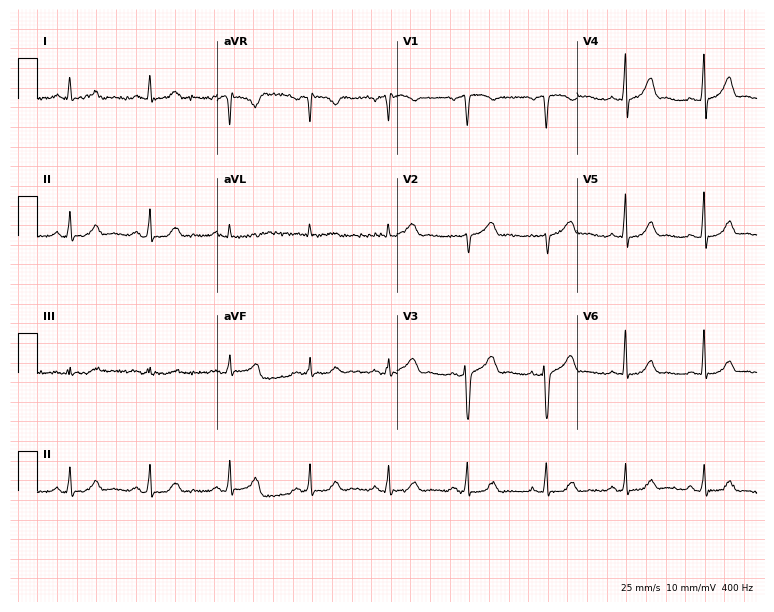
ECG — a man, 48 years old. Labelled as a normal ECG.